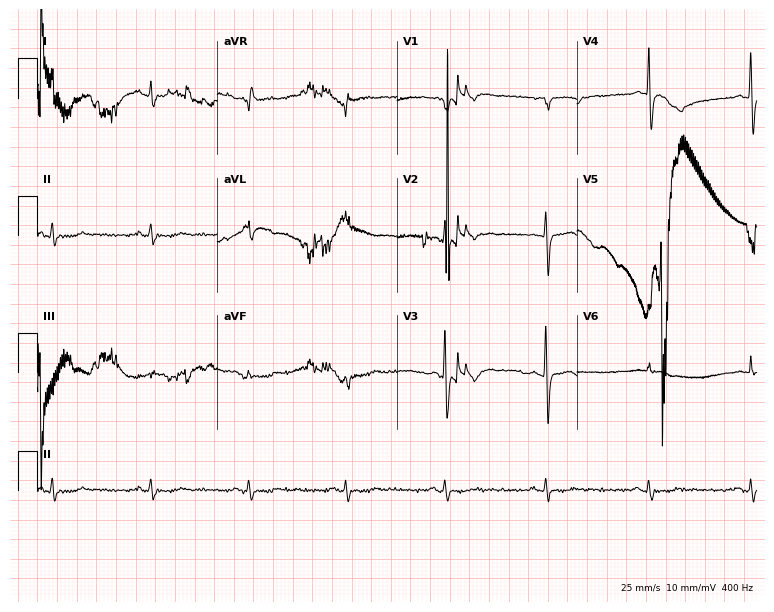
Electrocardiogram, an 84-year-old female. Of the six screened findings (first-degree AV block, right bundle branch block, left bundle branch block, sinus bradycardia, atrial fibrillation, sinus tachycardia), none is recorded.